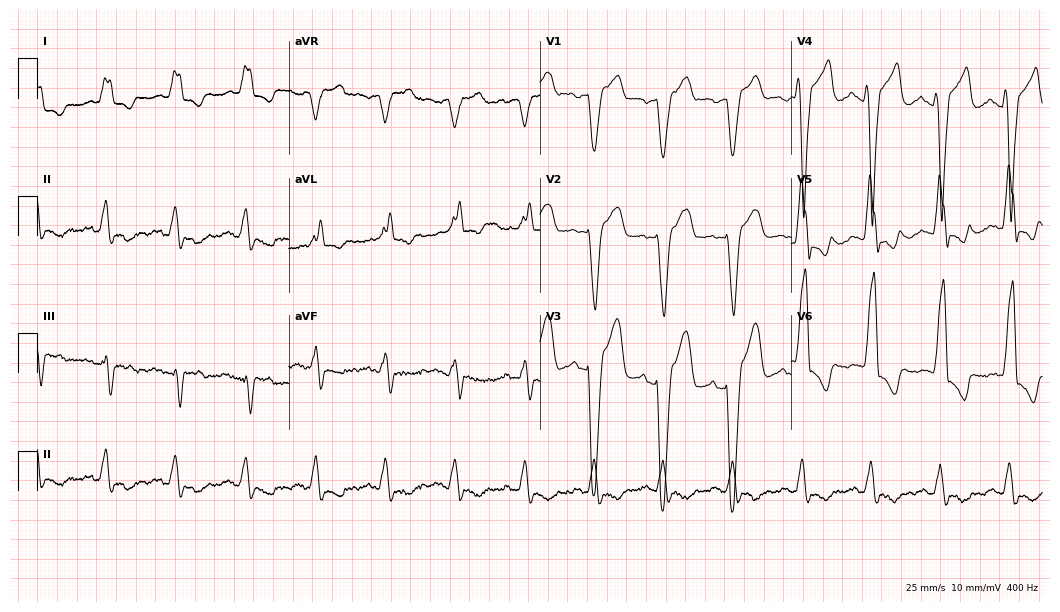
12-lead ECG from a male patient, 62 years old. Findings include left bundle branch block.